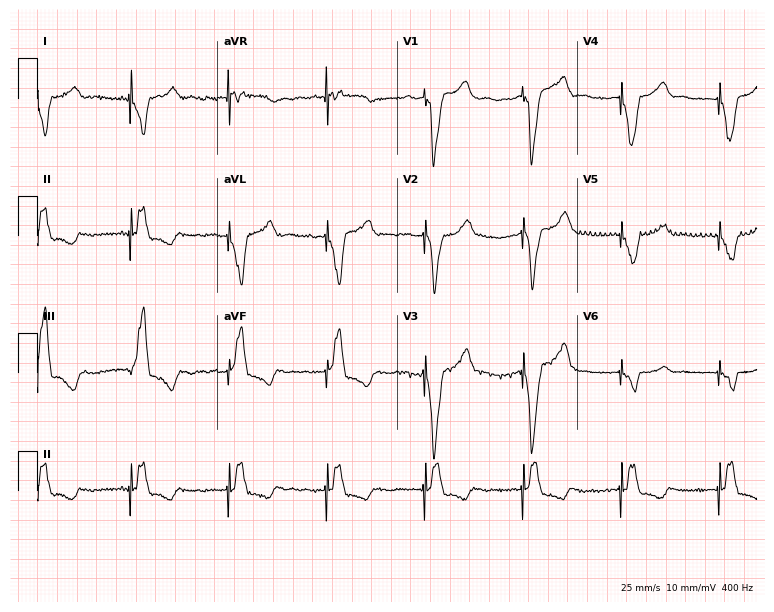
ECG (7.3-second recording at 400 Hz) — a 79-year-old woman. Screened for six findings — first-degree AV block, right bundle branch block, left bundle branch block, sinus bradycardia, atrial fibrillation, sinus tachycardia — none is recorded. Other findings, if any, are not listed.